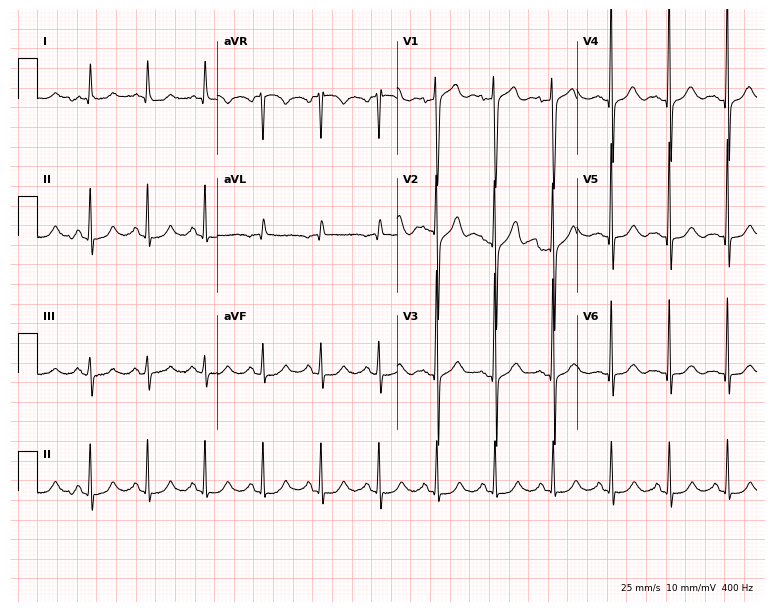
Electrocardiogram (7.3-second recording at 400 Hz), a 61-year-old male. Of the six screened findings (first-degree AV block, right bundle branch block (RBBB), left bundle branch block (LBBB), sinus bradycardia, atrial fibrillation (AF), sinus tachycardia), none is recorded. Only these six findings were labelled.